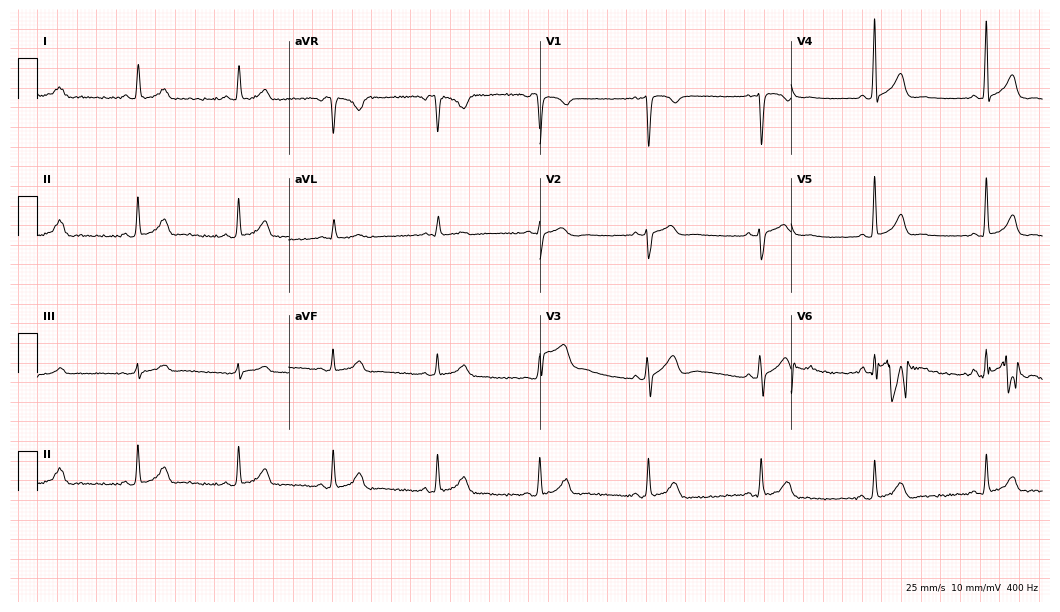
ECG — a 44-year-old woman. Labelled as a normal ECG.